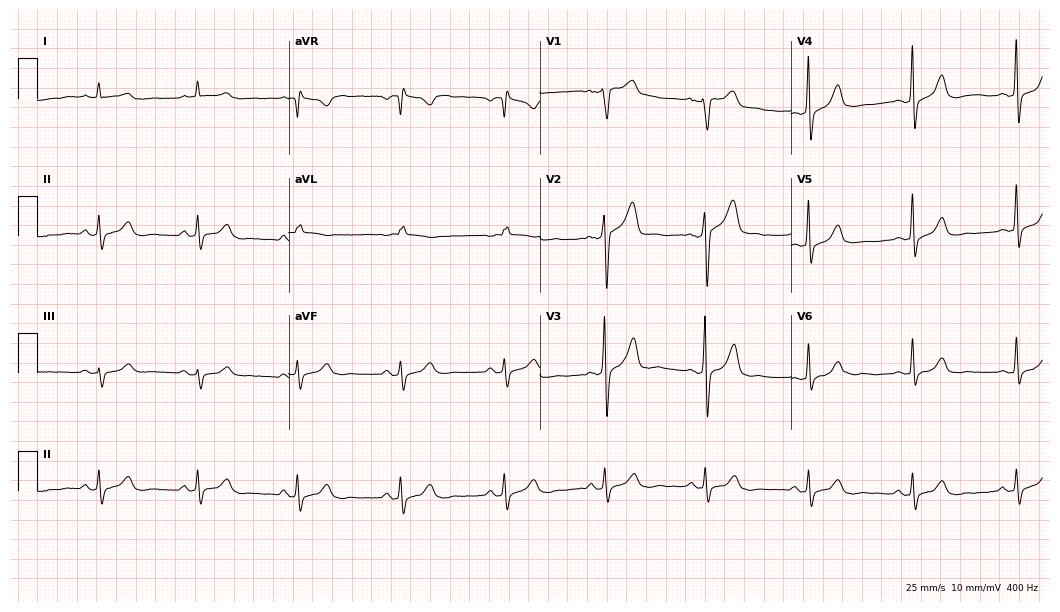
ECG — a 59-year-old male patient. Labelled as a normal ECG.